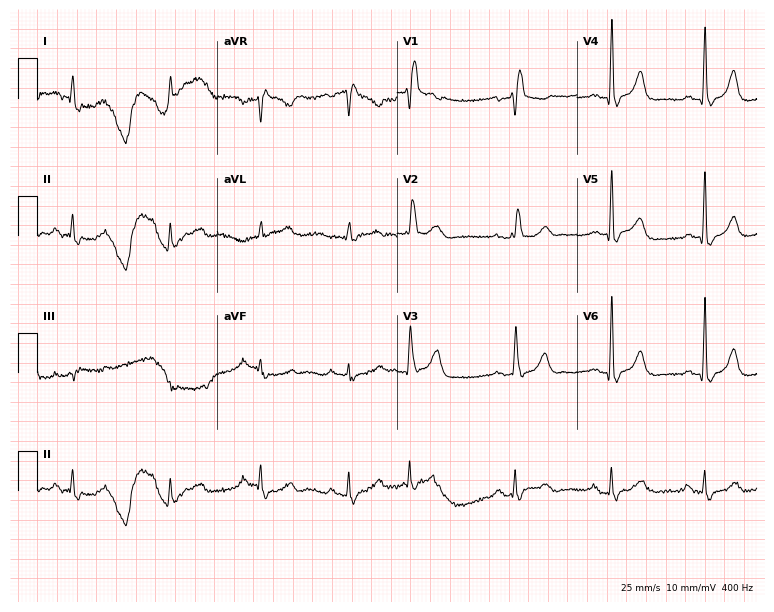
Standard 12-lead ECG recorded from a 77-year-old man. The tracing shows right bundle branch block (RBBB).